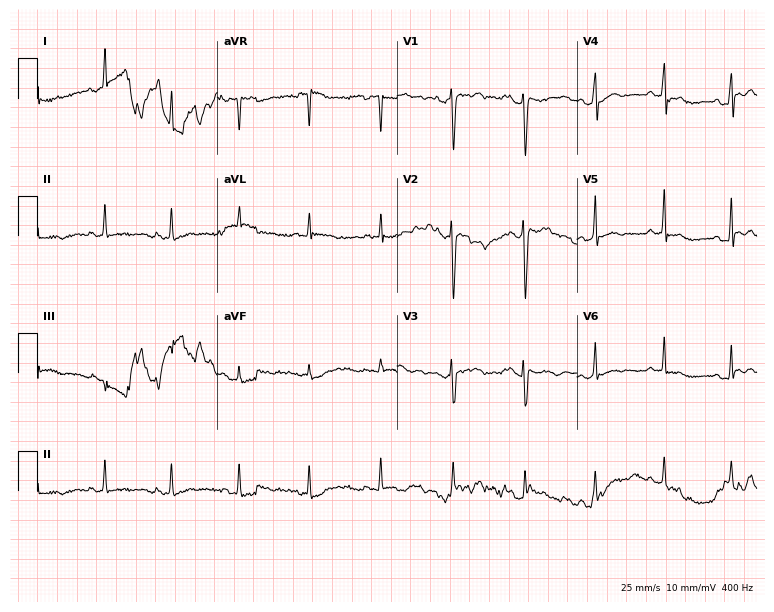
ECG (7.3-second recording at 400 Hz) — a woman, 43 years old. Screened for six findings — first-degree AV block, right bundle branch block, left bundle branch block, sinus bradycardia, atrial fibrillation, sinus tachycardia — none is recorded. Findings outside these six are not listed.